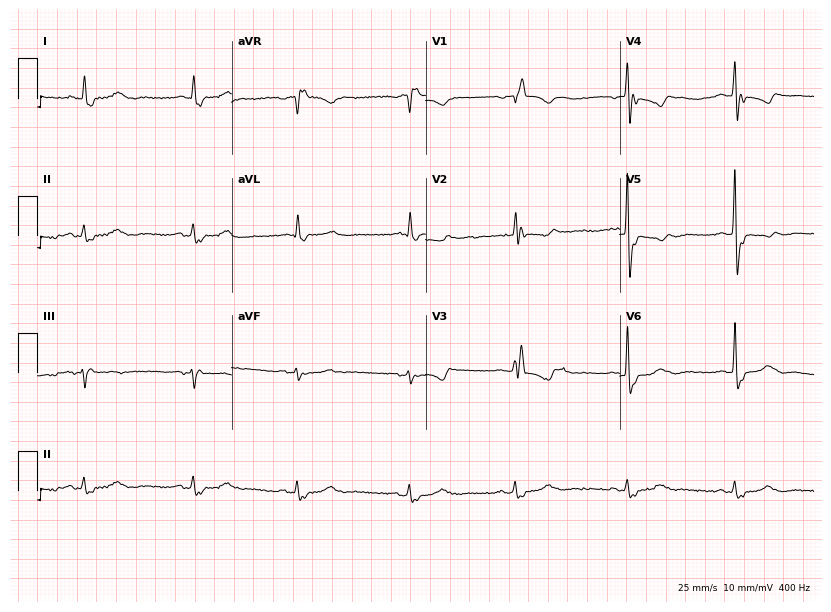
12-lead ECG (7.9-second recording at 400 Hz) from a female patient, 78 years old. Findings include right bundle branch block.